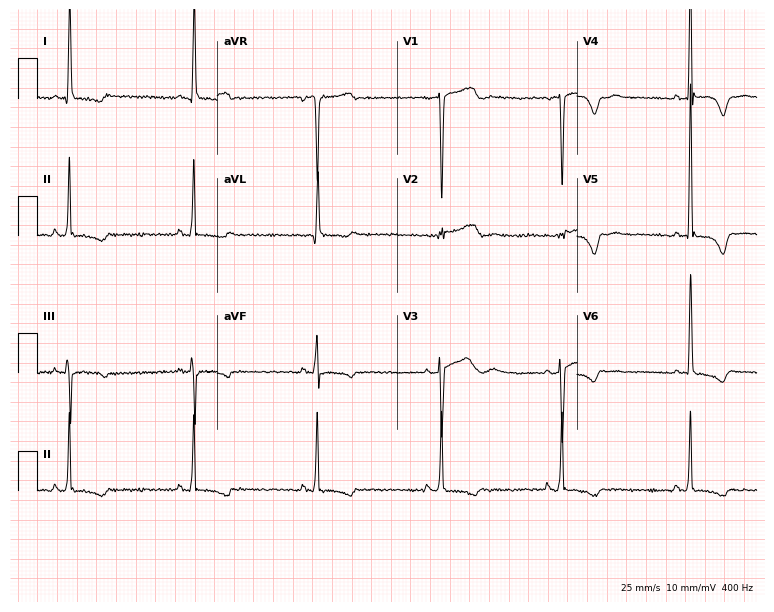
Standard 12-lead ECG recorded from a woman, 64 years old (7.3-second recording at 400 Hz). None of these six findings is recorded: first-degree AV block, right bundle branch block, left bundle branch block, sinus bradycardia, atrial fibrillation, sinus tachycardia.